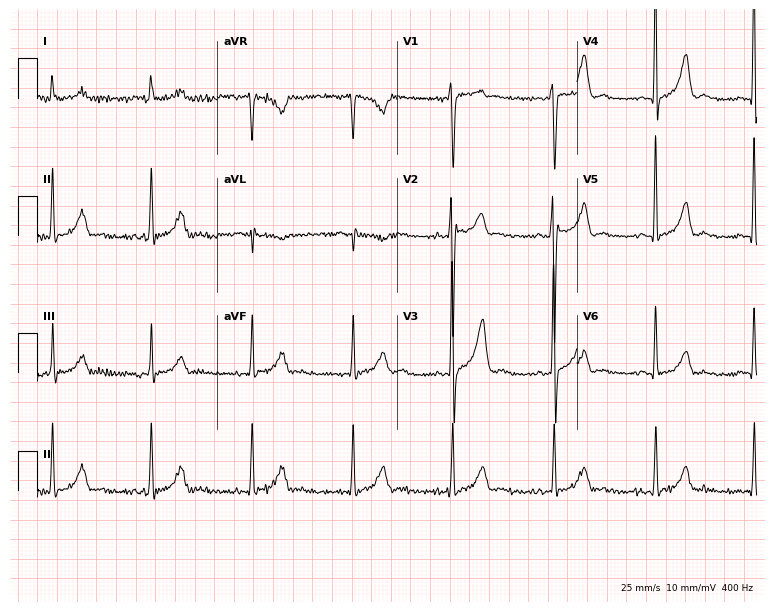
12-lead ECG from a male, 37 years old. Recorded interpretation: within normal limits.